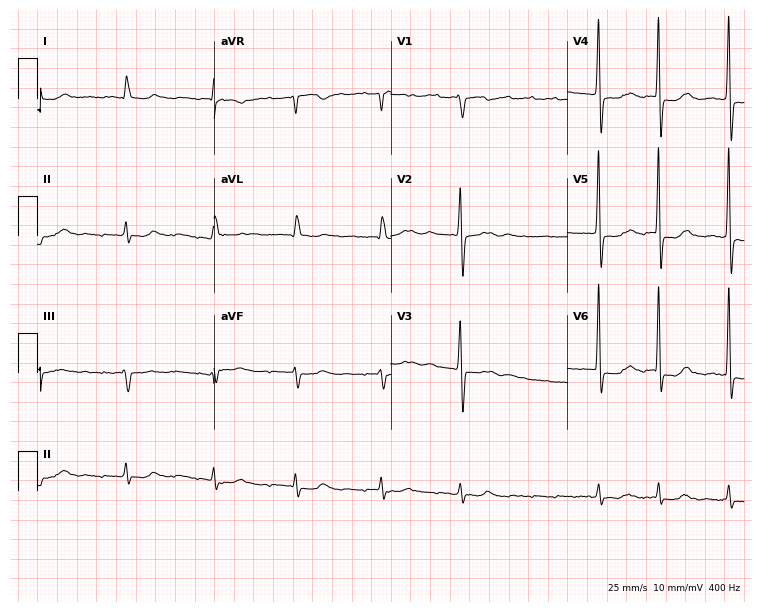
Electrocardiogram (7.2-second recording at 400 Hz), a male patient, 84 years old. Interpretation includes atrial fibrillation (AF).